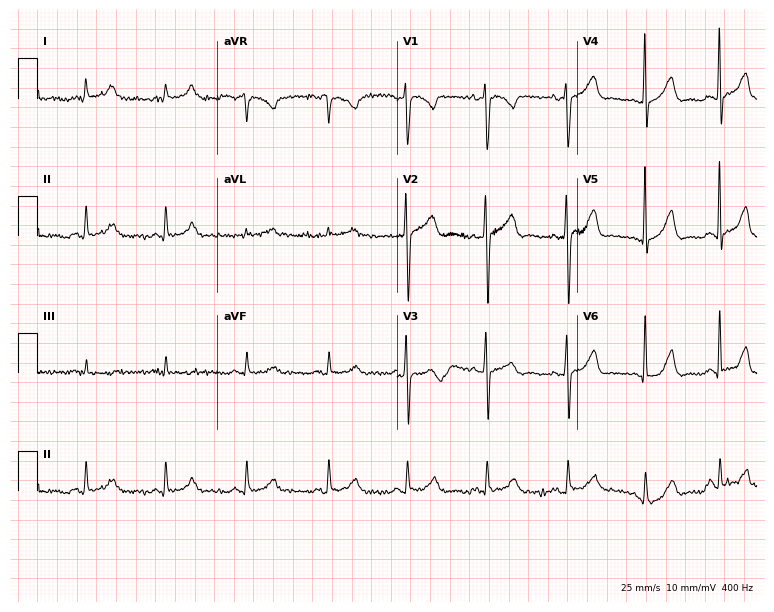
Resting 12-lead electrocardiogram. Patient: a woman, 38 years old. Read as a normal ECG.